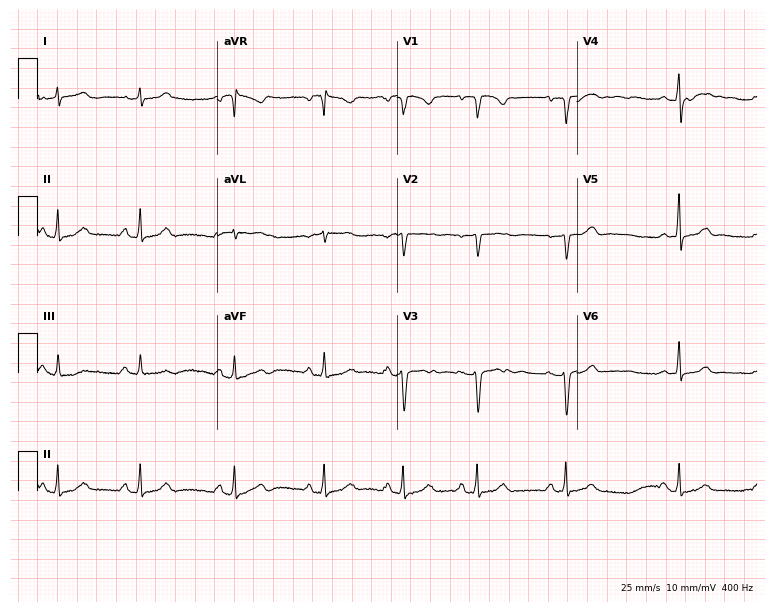
Electrocardiogram, a female patient, 35 years old. Of the six screened findings (first-degree AV block, right bundle branch block (RBBB), left bundle branch block (LBBB), sinus bradycardia, atrial fibrillation (AF), sinus tachycardia), none is recorded. Other findings, if any, are not listed.